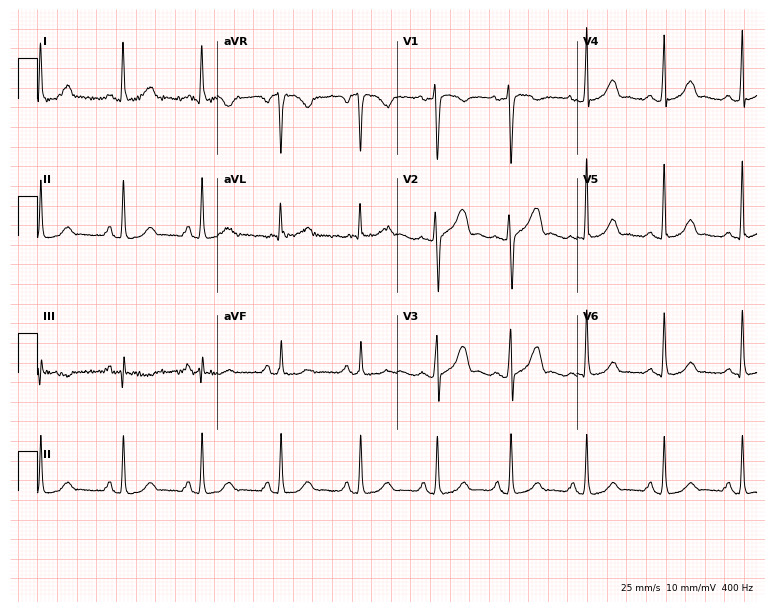
Electrocardiogram, a 41-year-old woman. Overall reading on record: normal ECG.